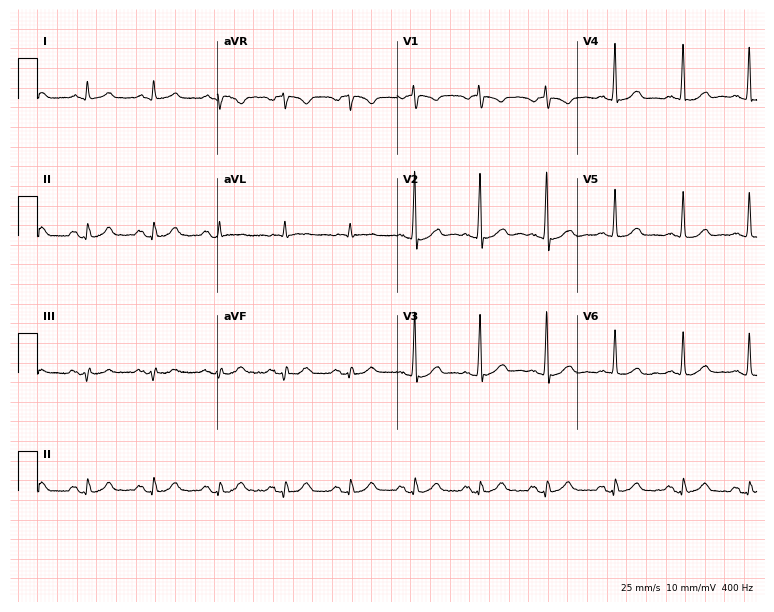
Electrocardiogram, a 73-year-old male. Of the six screened findings (first-degree AV block, right bundle branch block (RBBB), left bundle branch block (LBBB), sinus bradycardia, atrial fibrillation (AF), sinus tachycardia), none is recorded. Findings outside these six are not listed.